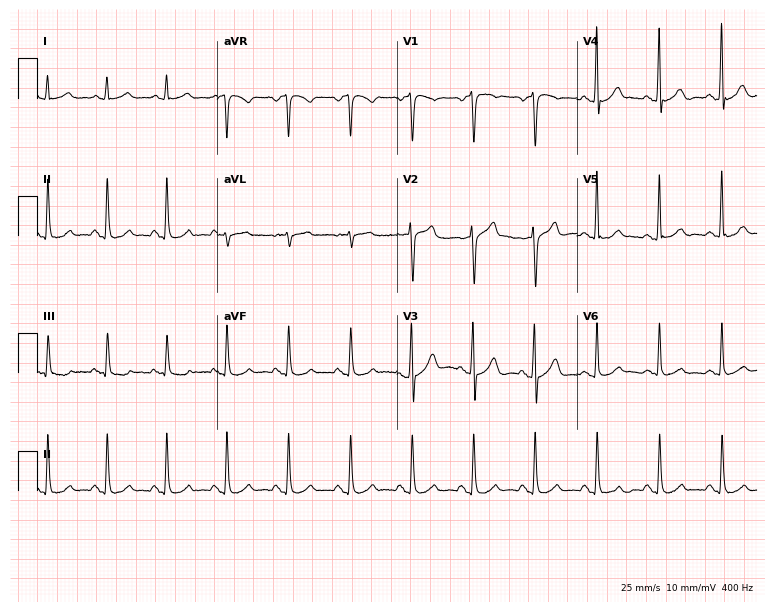
ECG (7.3-second recording at 400 Hz) — a 59-year-old male. Labelled as a normal ECG.